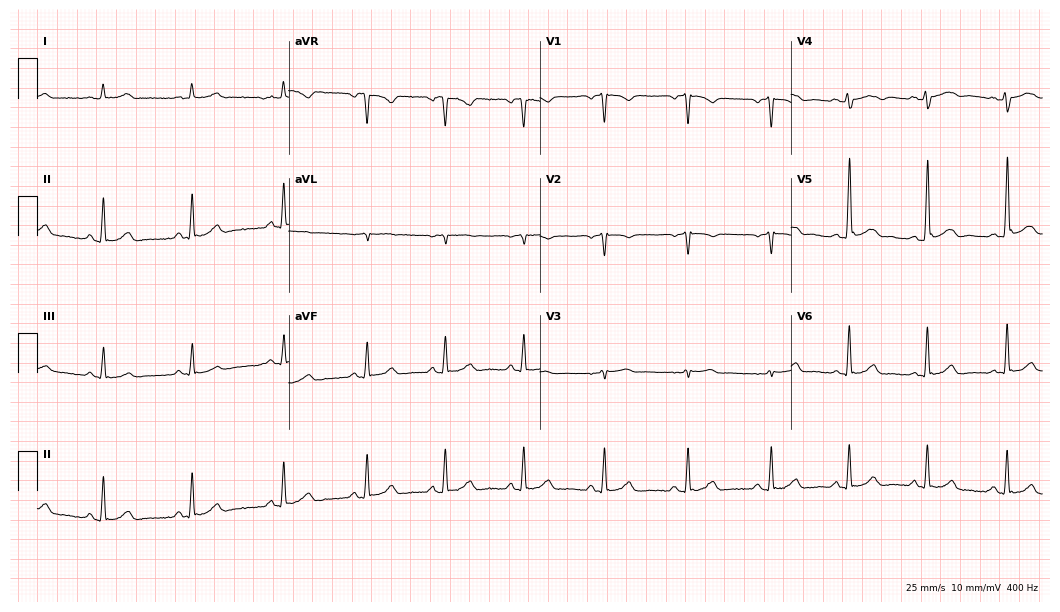
Standard 12-lead ECG recorded from a 47-year-old woman. Read as a normal ECG.